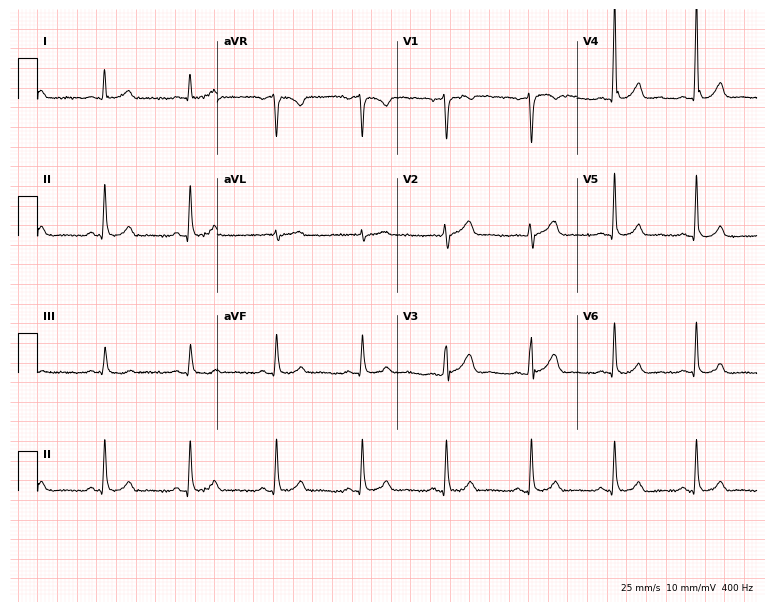
12-lead ECG from a male patient, 46 years old. No first-degree AV block, right bundle branch block (RBBB), left bundle branch block (LBBB), sinus bradycardia, atrial fibrillation (AF) or sinus tachycardia recorded for this tracing. Findings outside these six are not listed.